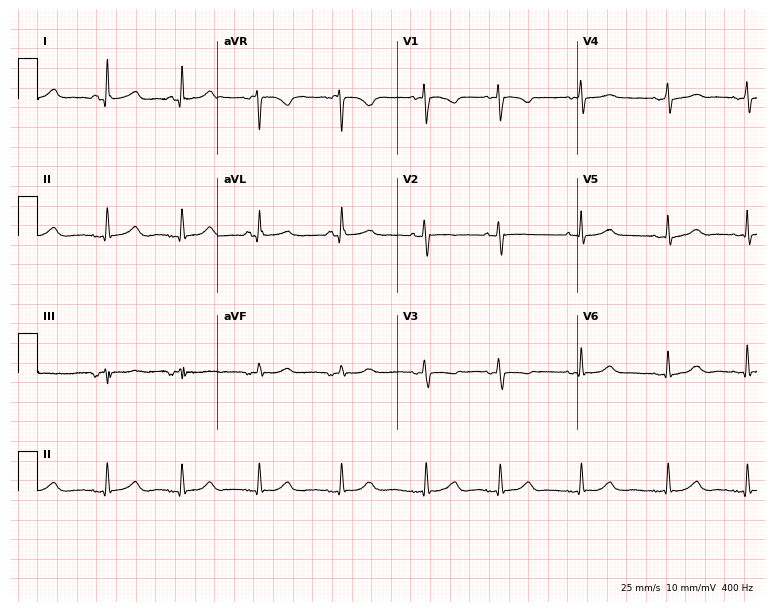
Electrocardiogram, a female patient, 45 years old. Overall reading on record: normal ECG.